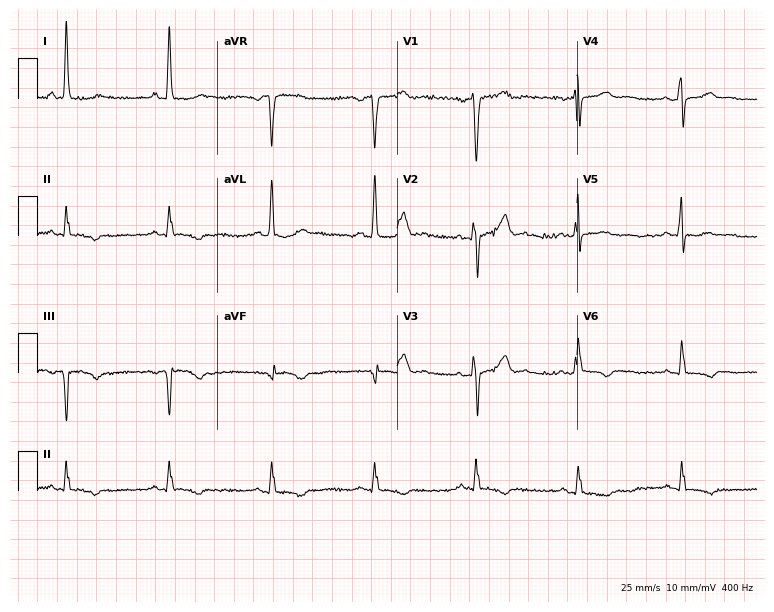
12-lead ECG from a 52-year-old female (7.3-second recording at 400 Hz). No first-degree AV block, right bundle branch block (RBBB), left bundle branch block (LBBB), sinus bradycardia, atrial fibrillation (AF) or sinus tachycardia recorded for this tracing. Only these six findings were labelled.